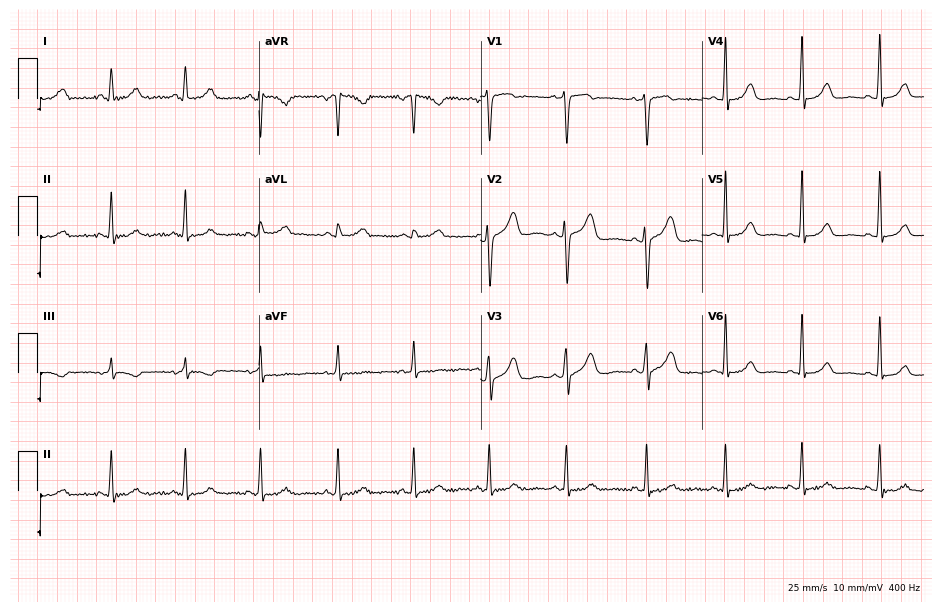
ECG — a 42-year-old woman. Labelled as a normal ECG.